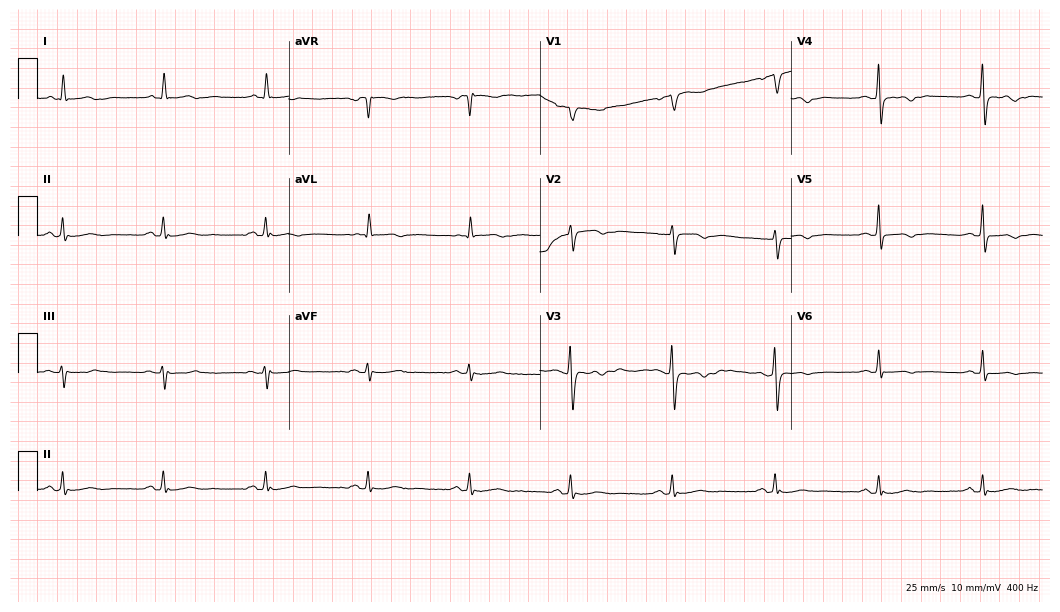
Electrocardiogram, an 84-year-old woman. Of the six screened findings (first-degree AV block, right bundle branch block (RBBB), left bundle branch block (LBBB), sinus bradycardia, atrial fibrillation (AF), sinus tachycardia), none is recorded. Only these six findings were labelled.